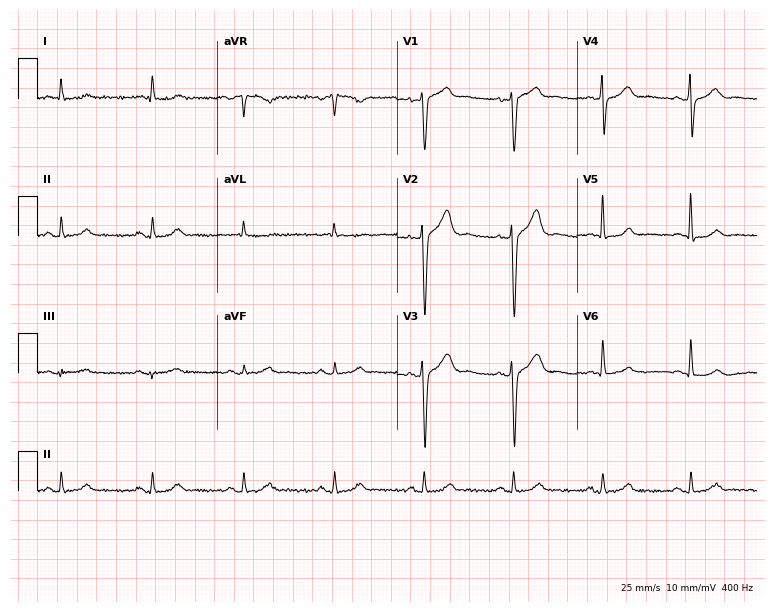
Resting 12-lead electrocardiogram (7.3-second recording at 400 Hz). Patient: a 60-year-old male. None of these six findings is recorded: first-degree AV block, right bundle branch block, left bundle branch block, sinus bradycardia, atrial fibrillation, sinus tachycardia. Only these six findings were labelled.